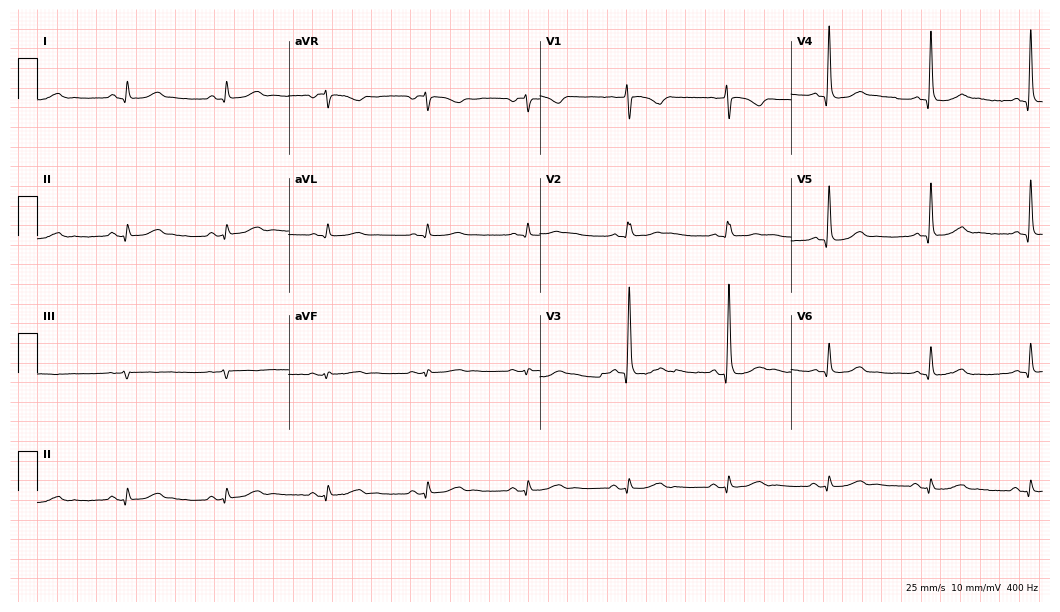
12-lead ECG from a male, 75 years old. Recorded interpretation: within normal limits.